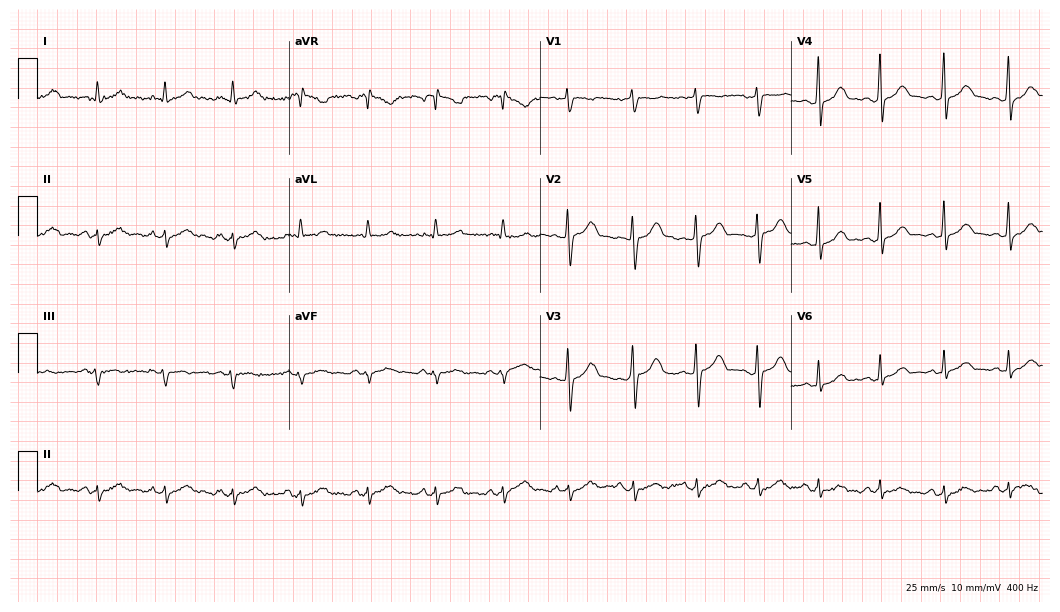
12-lead ECG from a 27-year-old woman. No first-degree AV block, right bundle branch block (RBBB), left bundle branch block (LBBB), sinus bradycardia, atrial fibrillation (AF) or sinus tachycardia recorded for this tracing.